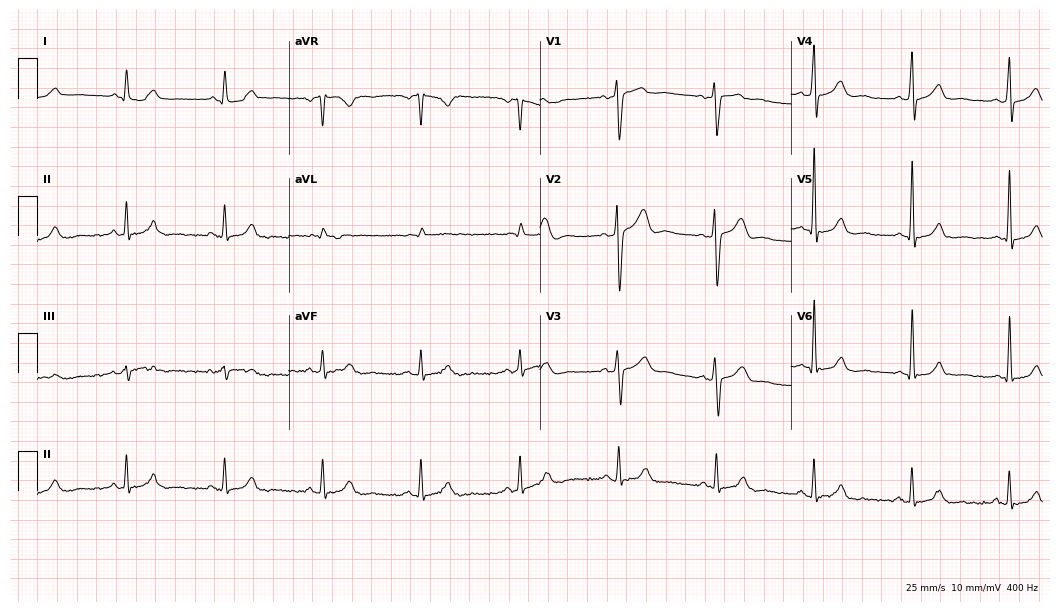
Electrocardiogram, a 52-year-old male patient. Overall reading on record: normal ECG.